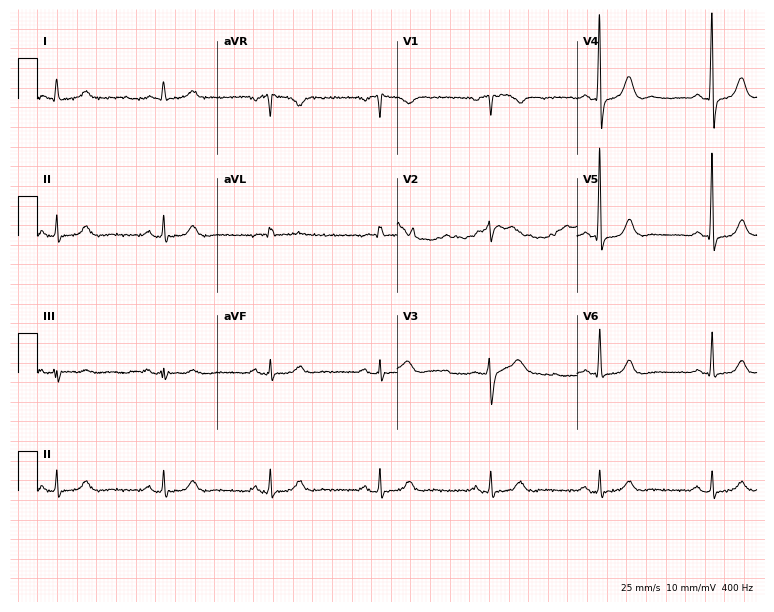
Standard 12-lead ECG recorded from a man, 79 years old (7.3-second recording at 400 Hz). None of these six findings is recorded: first-degree AV block, right bundle branch block (RBBB), left bundle branch block (LBBB), sinus bradycardia, atrial fibrillation (AF), sinus tachycardia. Other findings, if any, are not listed.